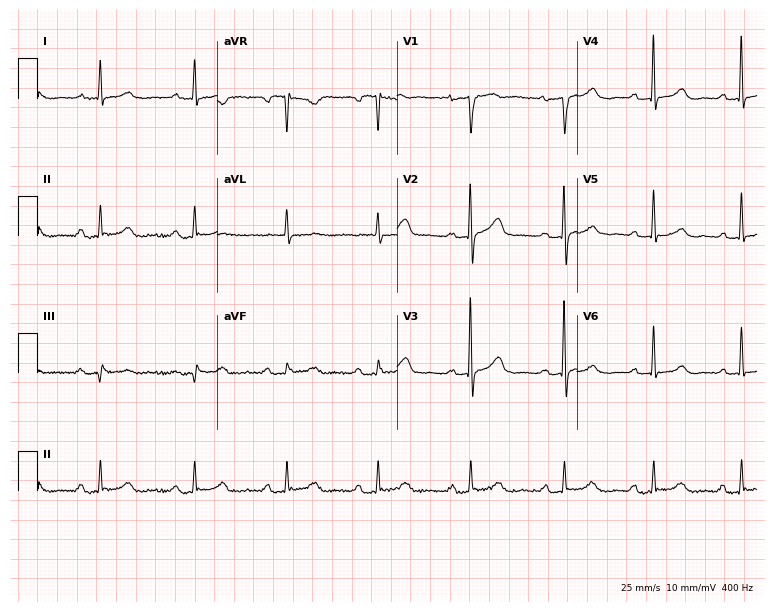
12-lead ECG from a 69-year-old woman. Findings include first-degree AV block.